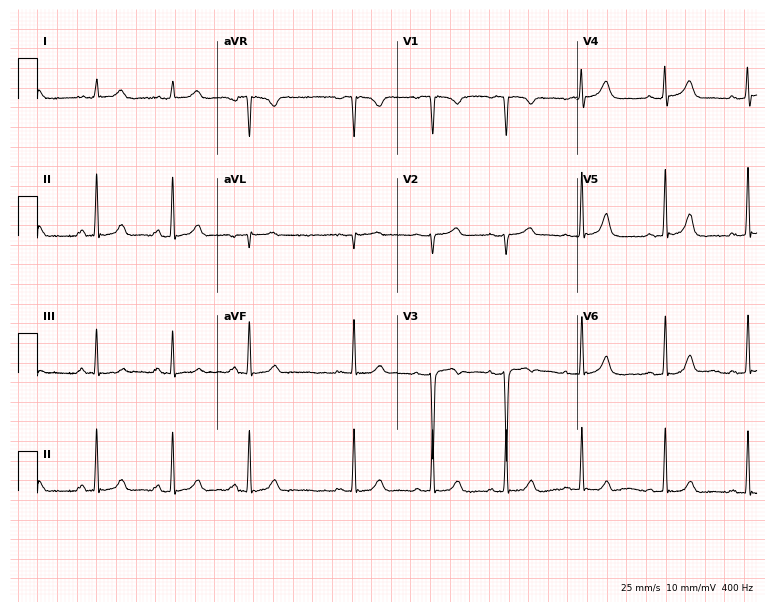
12-lead ECG from a 49-year-old female patient (7.3-second recording at 400 Hz). Recorded interpretation: within normal limits.